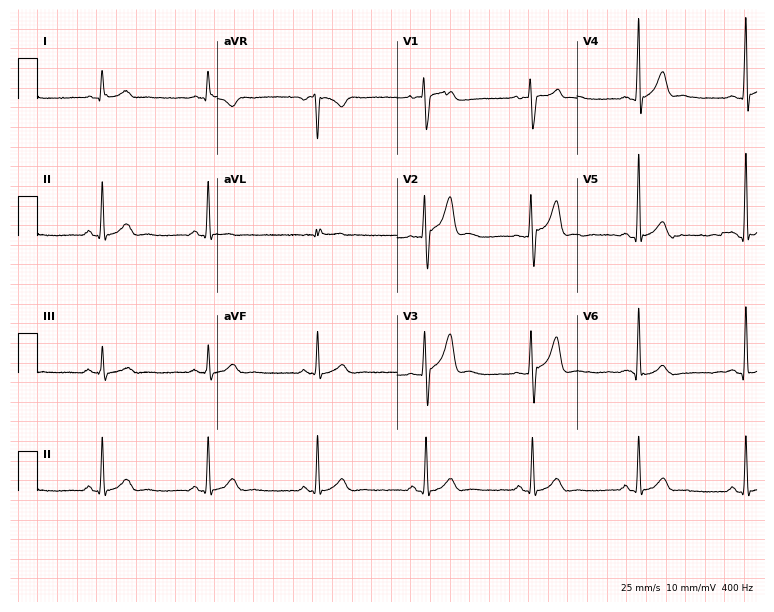
12-lead ECG from a male, 33 years old. Screened for six findings — first-degree AV block, right bundle branch block, left bundle branch block, sinus bradycardia, atrial fibrillation, sinus tachycardia — none is recorded.